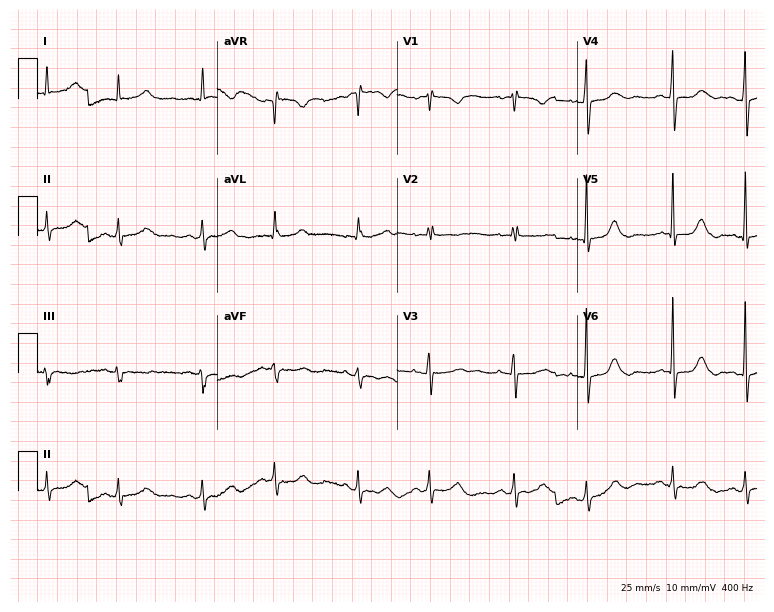
12-lead ECG from a 72-year-old woman. No first-degree AV block, right bundle branch block, left bundle branch block, sinus bradycardia, atrial fibrillation or sinus tachycardia recorded for this tracing. Only these six findings were labelled.